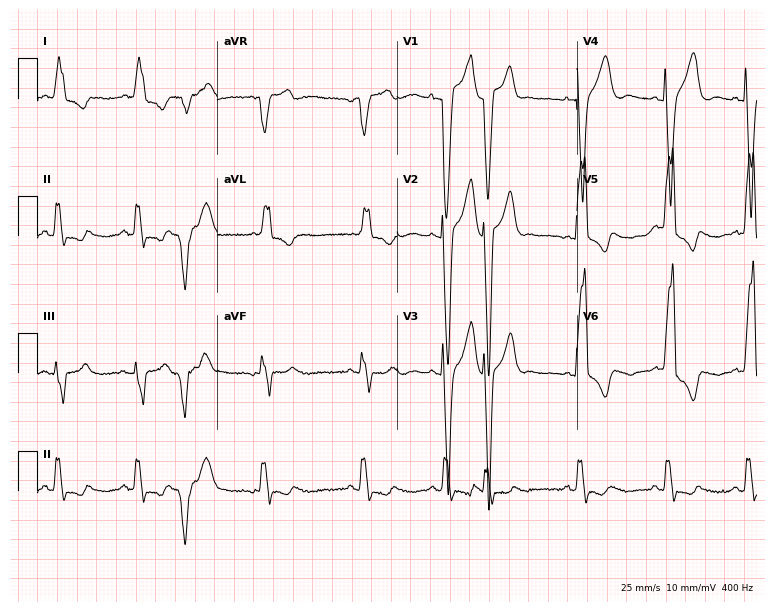
Standard 12-lead ECG recorded from a male patient, 88 years old (7.3-second recording at 400 Hz). The tracing shows left bundle branch block.